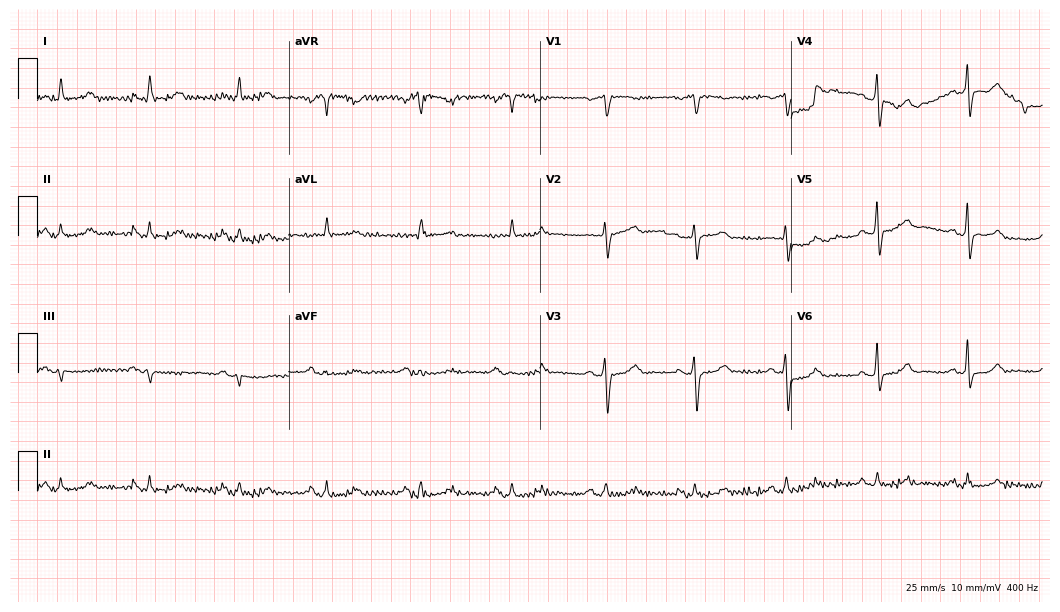
Resting 12-lead electrocardiogram (10.2-second recording at 400 Hz). Patient: a female, 66 years old. None of these six findings is recorded: first-degree AV block, right bundle branch block, left bundle branch block, sinus bradycardia, atrial fibrillation, sinus tachycardia. Findings outside these six are not listed.